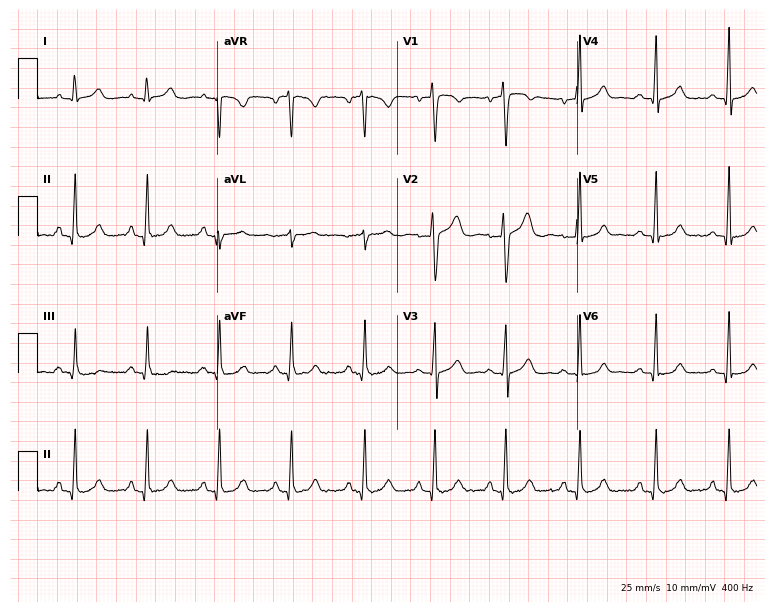
Resting 12-lead electrocardiogram (7.3-second recording at 400 Hz). Patient: a woman, 26 years old. None of these six findings is recorded: first-degree AV block, right bundle branch block, left bundle branch block, sinus bradycardia, atrial fibrillation, sinus tachycardia. Only these six findings were labelled.